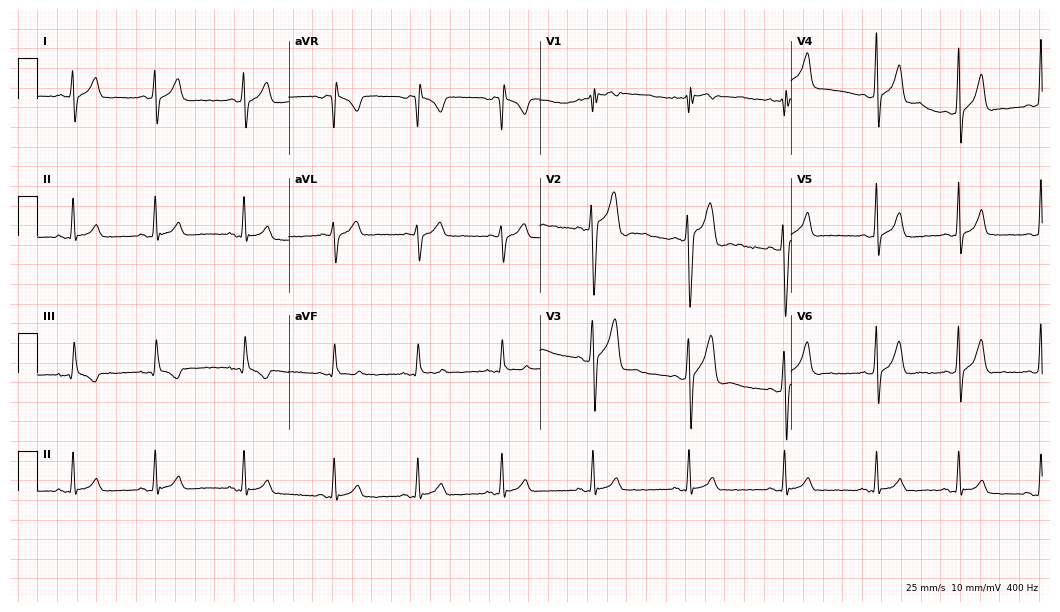
12-lead ECG from a man, 22 years old. No first-degree AV block, right bundle branch block (RBBB), left bundle branch block (LBBB), sinus bradycardia, atrial fibrillation (AF) or sinus tachycardia recorded for this tracing. Other findings, if any, are not listed.